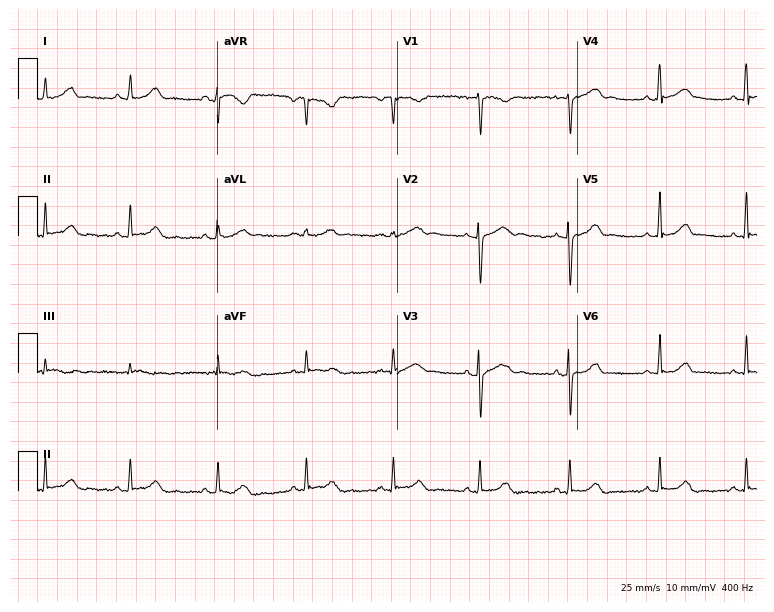
ECG (7.3-second recording at 400 Hz) — a 28-year-old female. Labelled as a normal ECG.